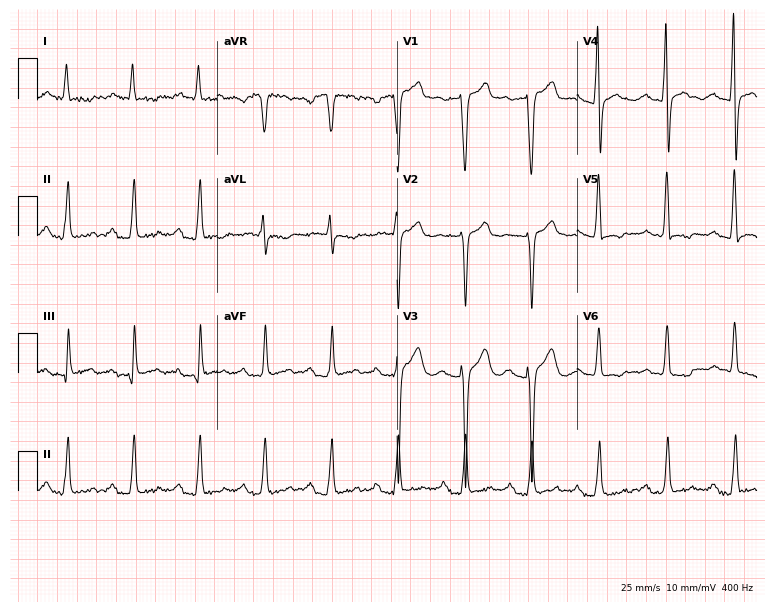
12-lead ECG from a 72-year-old man (7.3-second recording at 400 Hz). Shows first-degree AV block.